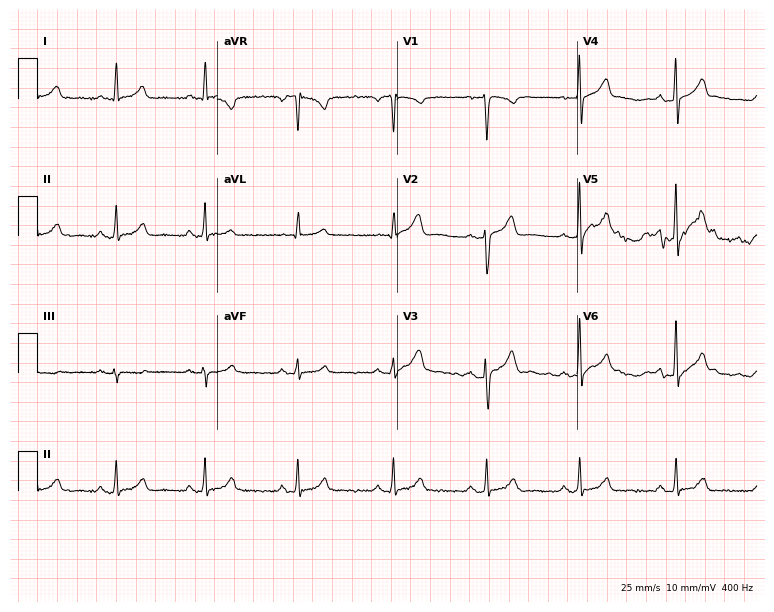
ECG — a woman, 40 years old. Labelled as a normal ECG.